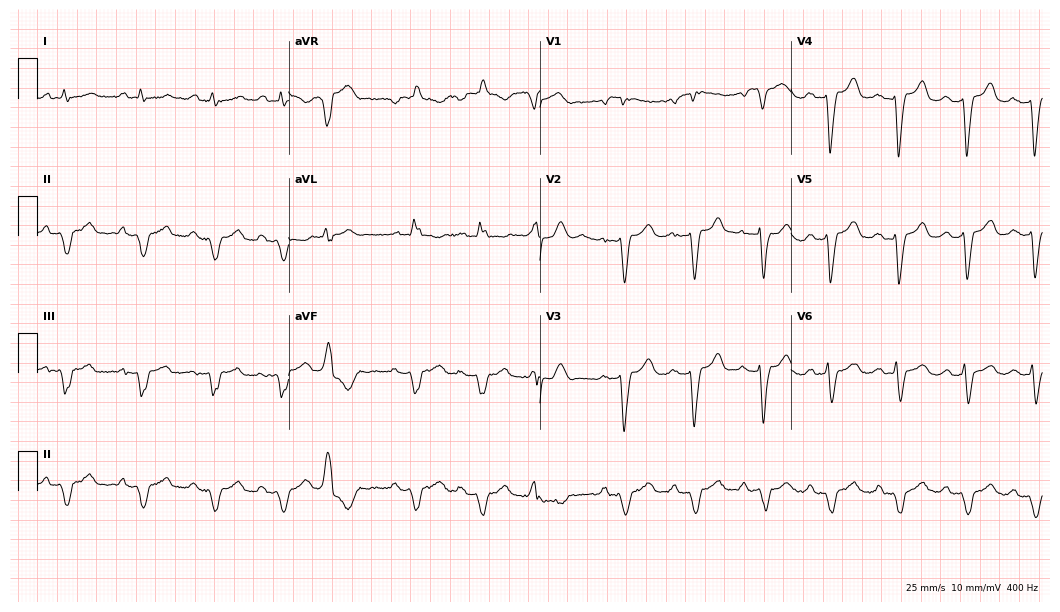
Electrocardiogram, a man, 67 years old. Of the six screened findings (first-degree AV block, right bundle branch block (RBBB), left bundle branch block (LBBB), sinus bradycardia, atrial fibrillation (AF), sinus tachycardia), none is recorded. Other findings, if any, are not listed.